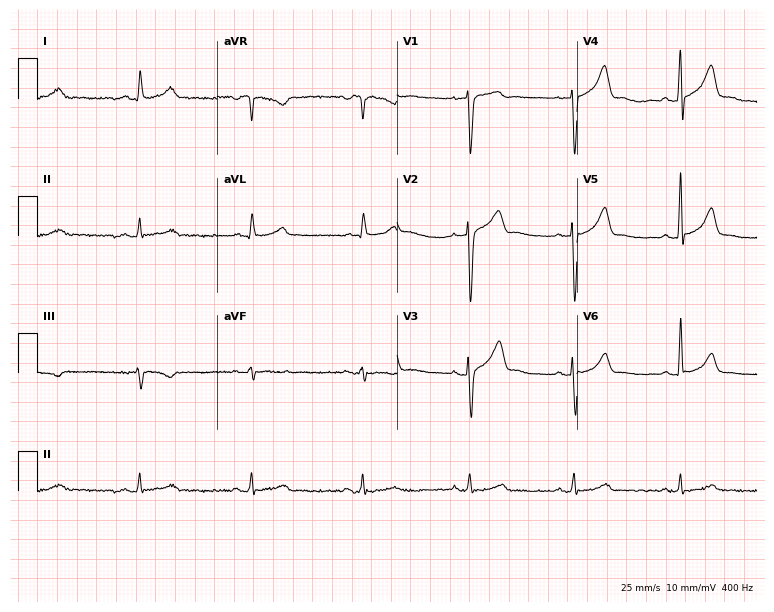
ECG (7.3-second recording at 400 Hz) — a man, 60 years old. Screened for six findings — first-degree AV block, right bundle branch block, left bundle branch block, sinus bradycardia, atrial fibrillation, sinus tachycardia — none is recorded.